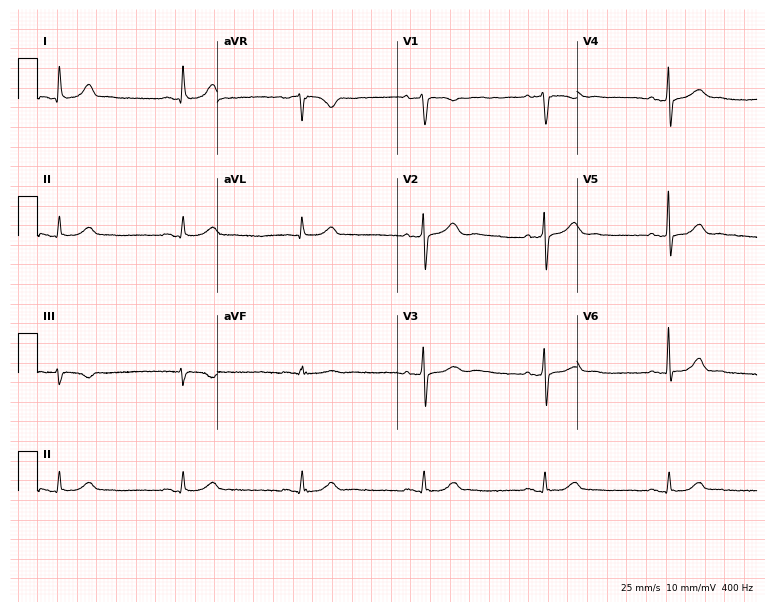
Resting 12-lead electrocardiogram. Patient: a male, 70 years old. None of these six findings is recorded: first-degree AV block, right bundle branch block, left bundle branch block, sinus bradycardia, atrial fibrillation, sinus tachycardia.